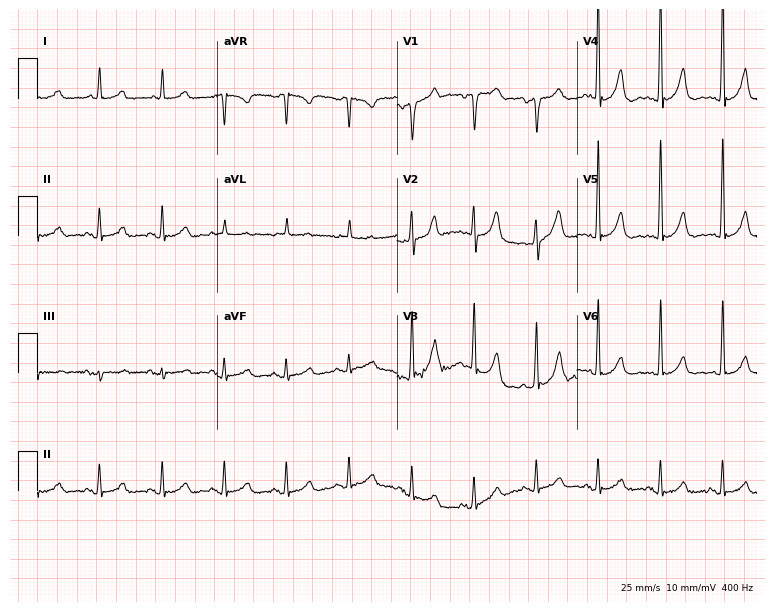
Electrocardiogram (7.3-second recording at 400 Hz), a 74-year-old male patient. Of the six screened findings (first-degree AV block, right bundle branch block, left bundle branch block, sinus bradycardia, atrial fibrillation, sinus tachycardia), none is recorded. Findings outside these six are not listed.